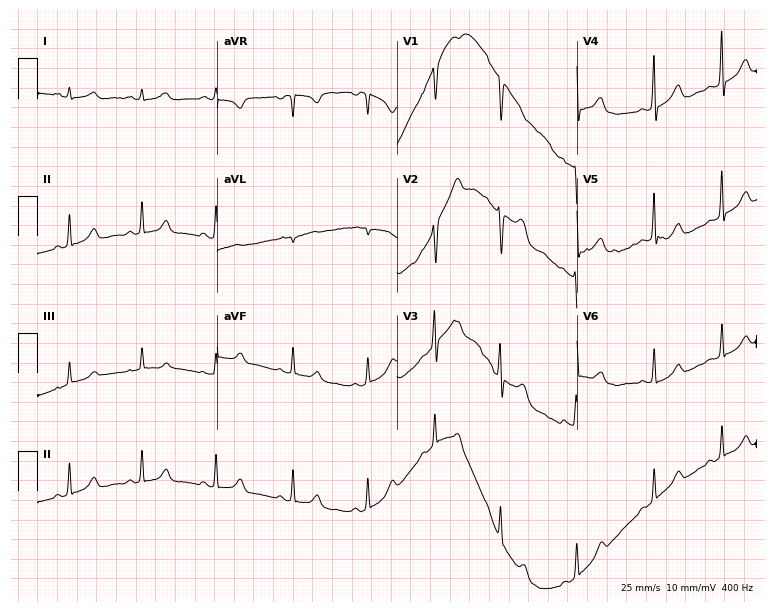
12-lead ECG from a 21-year-old woman. Screened for six findings — first-degree AV block, right bundle branch block, left bundle branch block, sinus bradycardia, atrial fibrillation, sinus tachycardia — none is recorded.